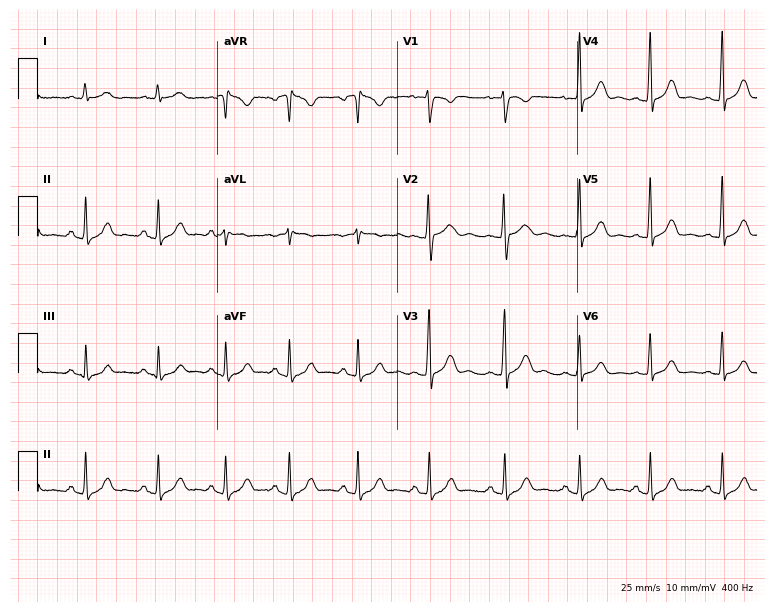
Resting 12-lead electrocardiogram (7.3-second recording at 400 Hz). Patient: a female, 18 years old. Read as a normal ECG.